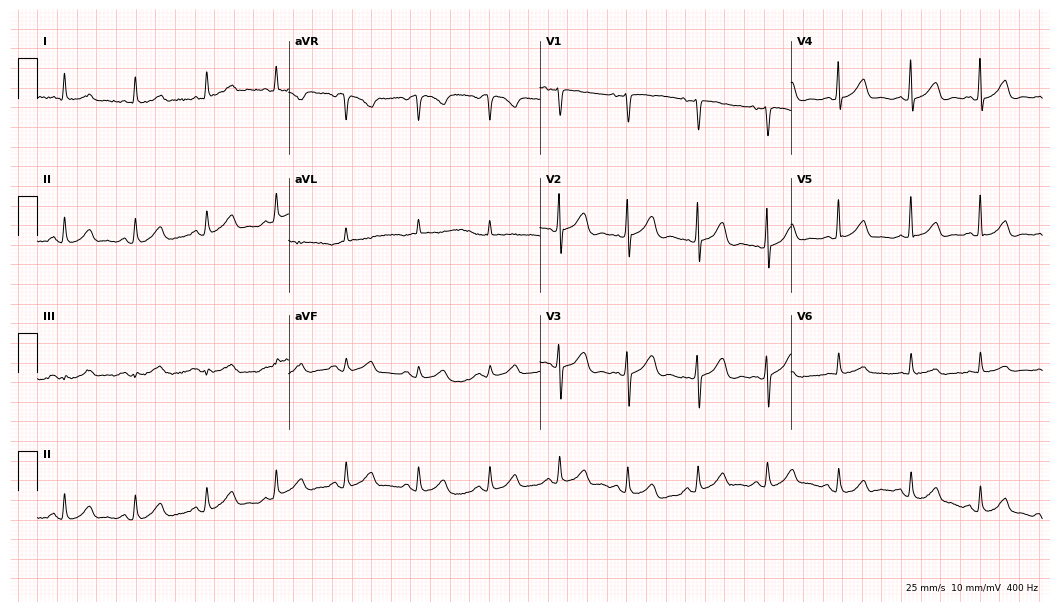
12-lead ECG from a 70-year-old female patient (10.2-second recording at 400 Hz). Recorded interpretation: within normal limits.